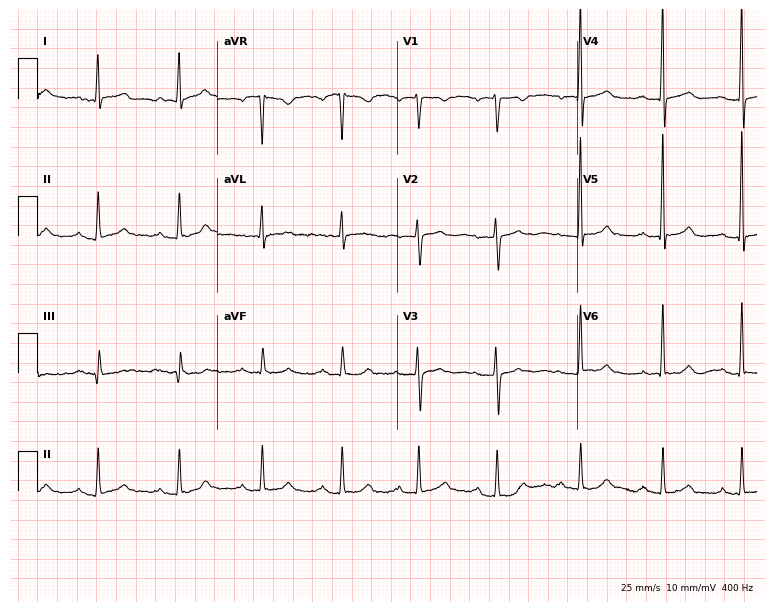
Resting 12-lead electrocardiogram. Patient: a 69-year-old woman. The tracing shows first-degree AV block.